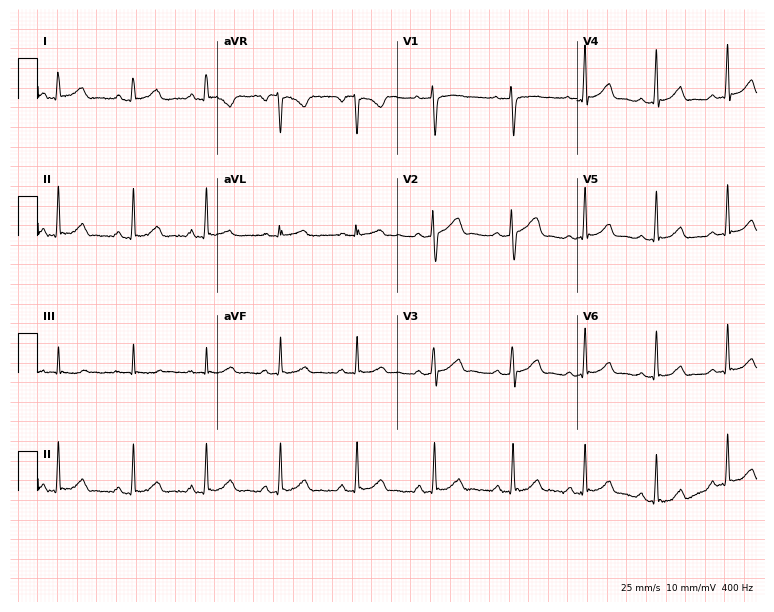
12-lead ECG from a female, 24 years old. Recorded interpretation: within normal limits.